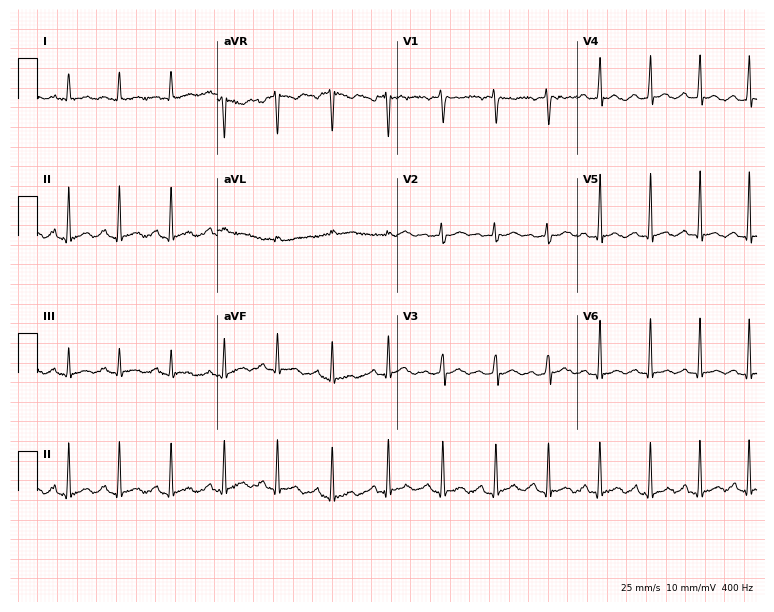
ECG (7.3-second recording at 400 Hz) — a 24-year-old woman. Screened for six findings — first-degree AV block, right bundle branch block (RBBB), left bundle branch block (LBBB), sinus bradycardia, atrial fibrillation (AF), sinus tachycardia — none is recorded.